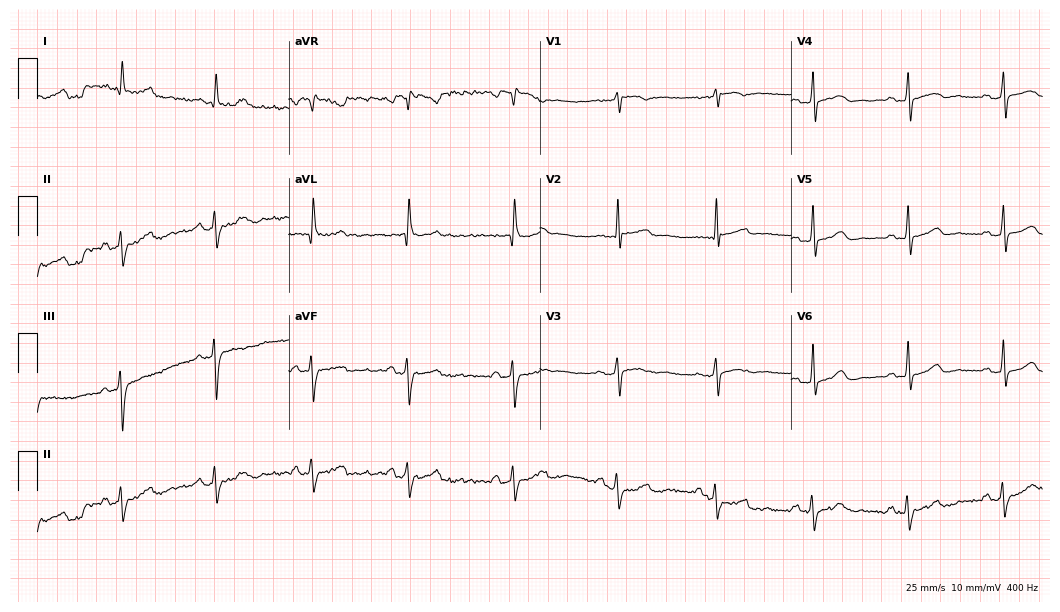
Resting 12-lead electrocardiogram (10.2-second recording at 400 Hz). Patient: a 69-year-old woman. None of these six findings is recorded: first-degree AV block, right bundle branch block, left bundle branch block, sinus bradycardia, atrial fibrillation, sinus tachycardia. Other findings, if any, are not listed.